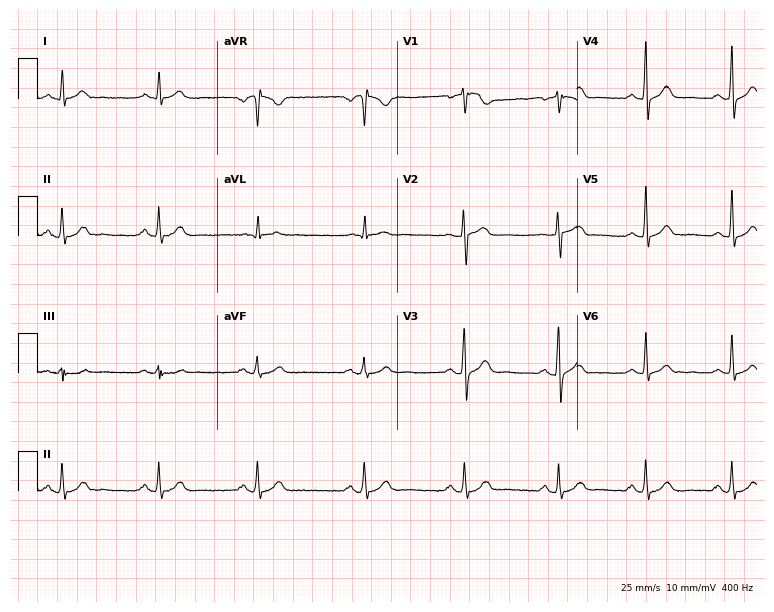
Resting 12-lead electrocardiogram. Patient: a 46-year-old male. None of these six findings is recorded: first-degree AV block, right bundle branch block (RBBB), left bundle branch block (LBBB), sinus bradycardia, atrial fibrillation (AF), sinus tachycardia.